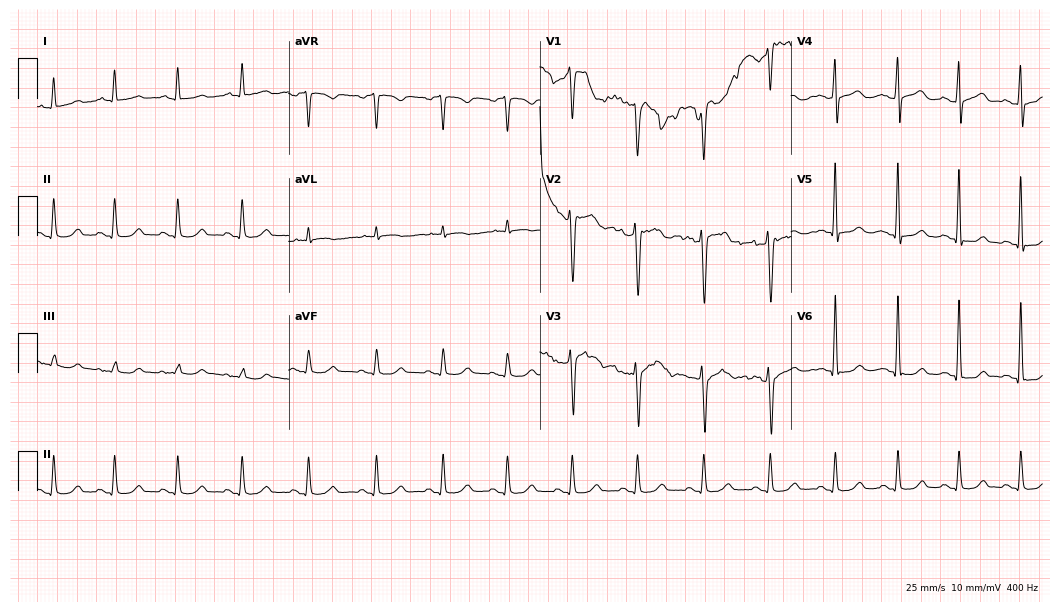
Electrocardiogram, a 77-year-old man. Overall reading on record: normal ECG.